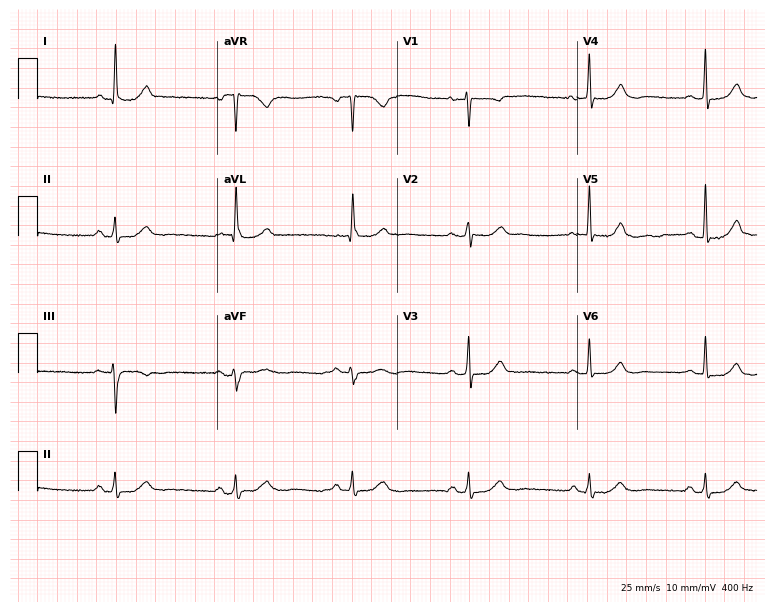
12-lead ECG (7.3-second recording at 400 Hz) from a 72-year-old female. Screened for six findings — first-degree AV block, right bundle branch block (RBBB), left bundle branch block (LBBB), sinus bradycardia, atrial fibrillation (AF), sinus tachycardia — none is recorded.